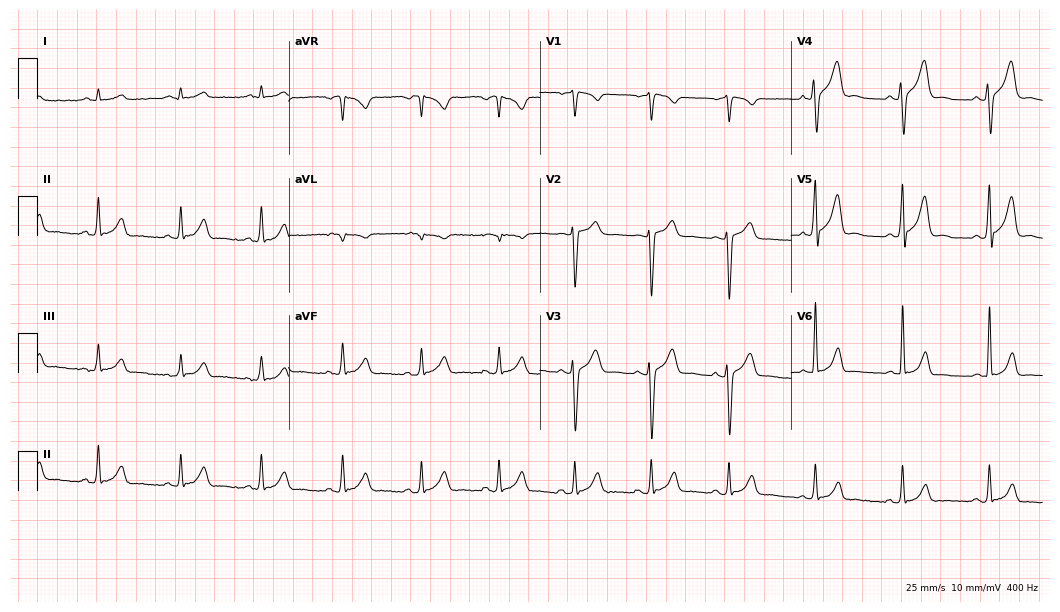
Resting 12-lead electrocardiogram (10.2-second recording at 400 Hz). Patient: a male, 30 years old. Read as a normal ECG.